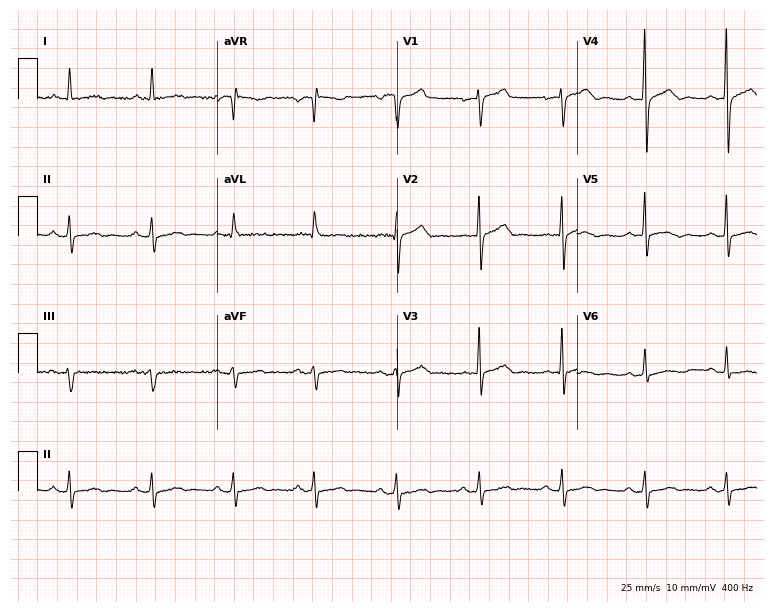
Electrocardiogram (7.3-second recording at 400 Hz), a 75-year-old male patient. Of the six screened findings (first-degree AV block, right bundle branch block (RBBB), left bundle branch block (LBBB), sinus bradycardia, atrial fibrillation (AF), sinus tachycardia), none is recorded.